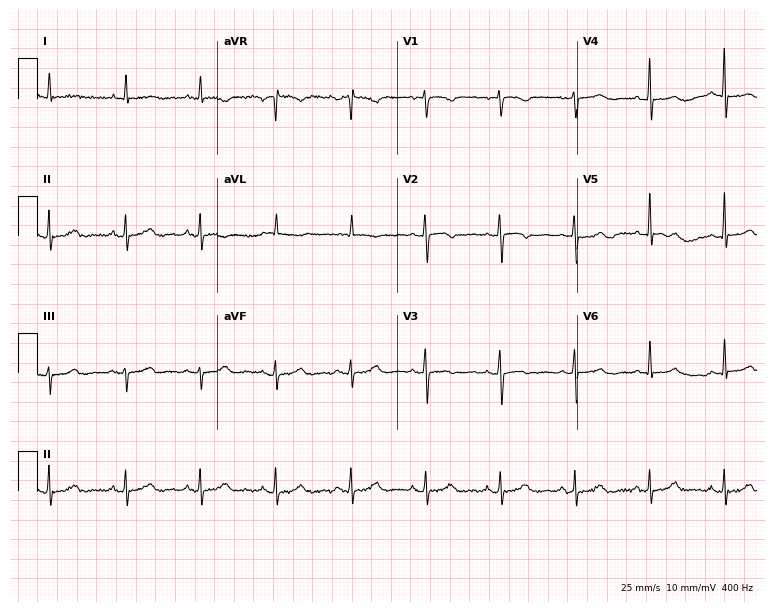
Standard 12-lead ECG recorded from a female patient, 62 years old (7.3-second recording at 400 Hz). Read as a normal ECG.